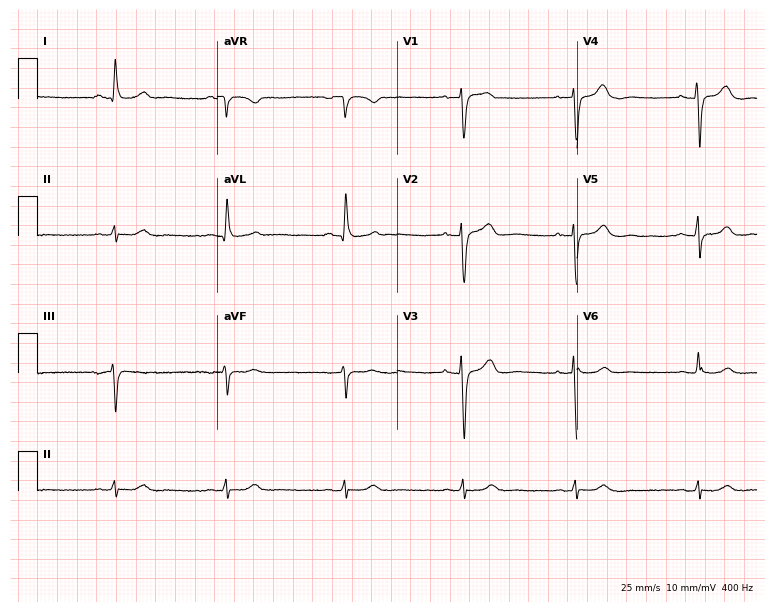
ECG — a 58-year-old female patient. Screened for six findings — first-degree AV block, right bundle branch block, left bundle branch block, sinus bradycardia, atrial fibrillation, sinus tachycardia — none is recorded. Only these six findings were labelled.